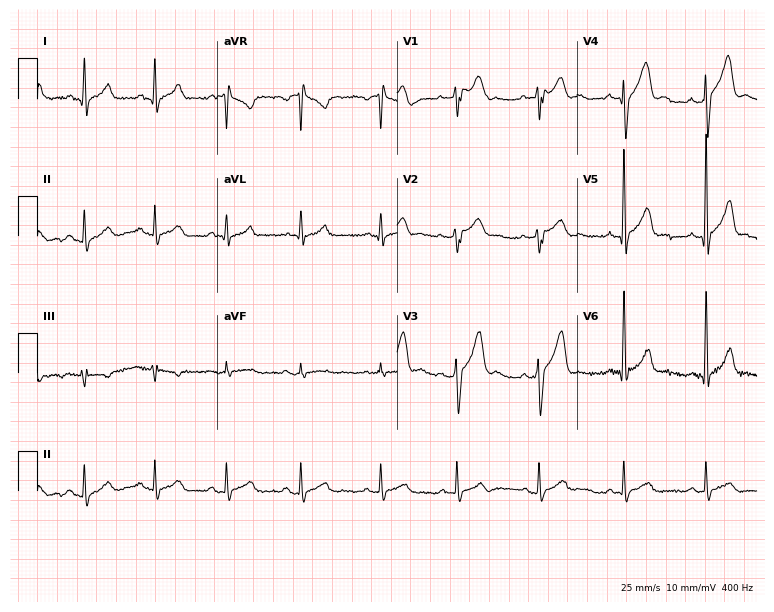
Resting 12-lead electrocardiogram. Patient: a man, 24 years old. None of these six findings is recorded: first-degree AV block, right bundle branch block (RBBB), left bundle branch block (LBBB), sinus bradycardia, atrial fibrillation (AF), sinus tachycardia. Only these six findings were labelled.